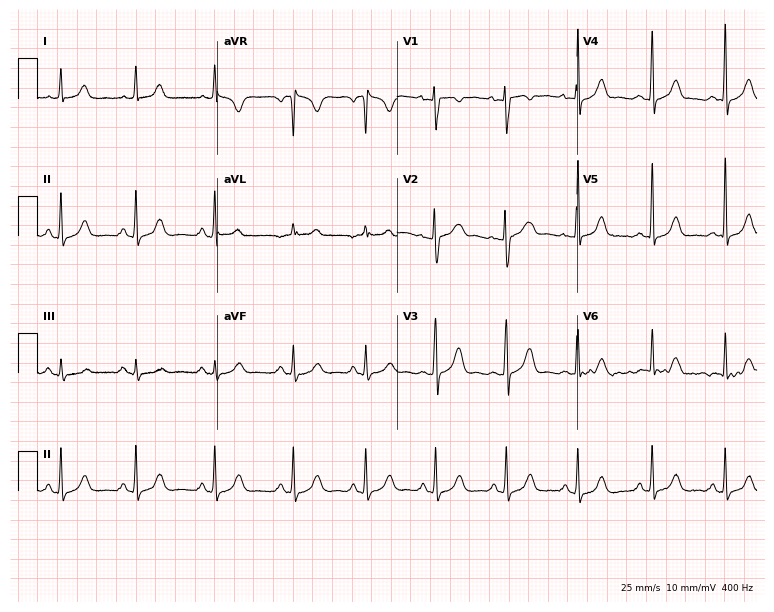
12-lead ECG from a female, 43 years old. Screened for six findings — first-degree AV block, right bundle branch block, left bundle branch block, sinus bradycardia, atrial fibrillation, sinus tachycardia — none is recorded.